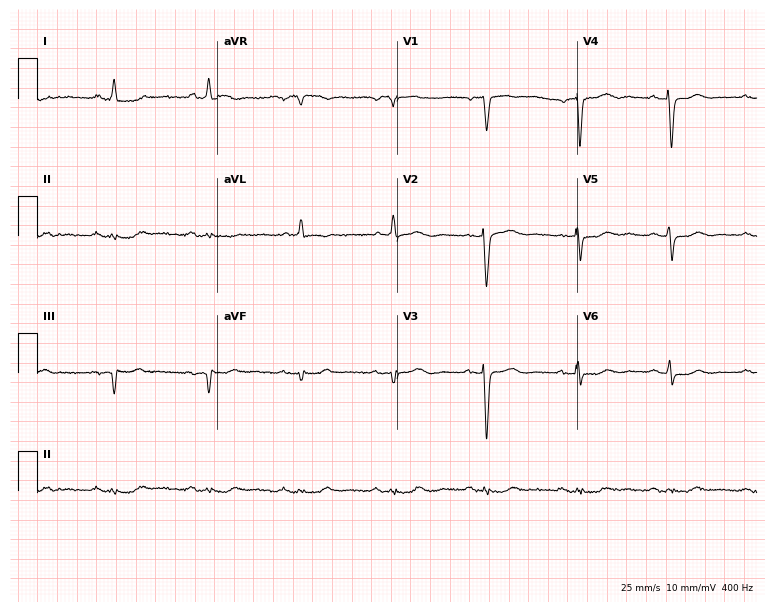
Standard 12-lead ECG recorded from an 83-year-old male patient (7.3-second recording at 400 Hz). None of these six findings is recorded: first-degree AV block, right bundle branch block, left bundle branch block, sinus bradycardia, atrial fibrillation, sinus tachycardia. Findings outside these six are not listed.